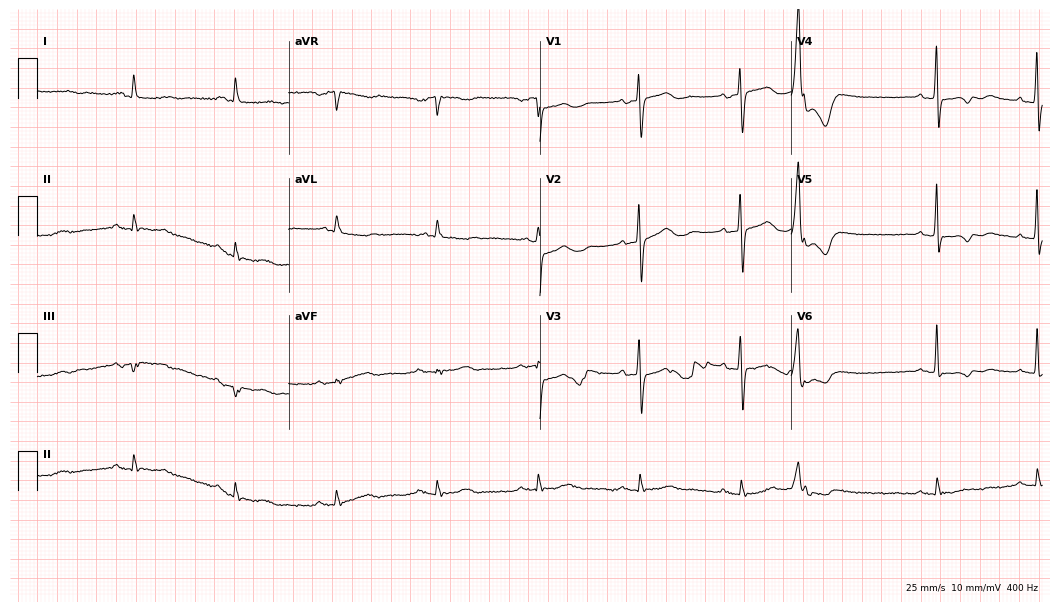
Resting 12-lead electrocardiogram (10.2-second recording at 400 Hz). Patient: a female, 80 years old. None of these six findings is recorded: first-degree AV block, right bundle branch block, left bundle branch block, sinus bradycardia, atrial fibrillation, sinus tachycardia. Other findings, if any, are not listed.